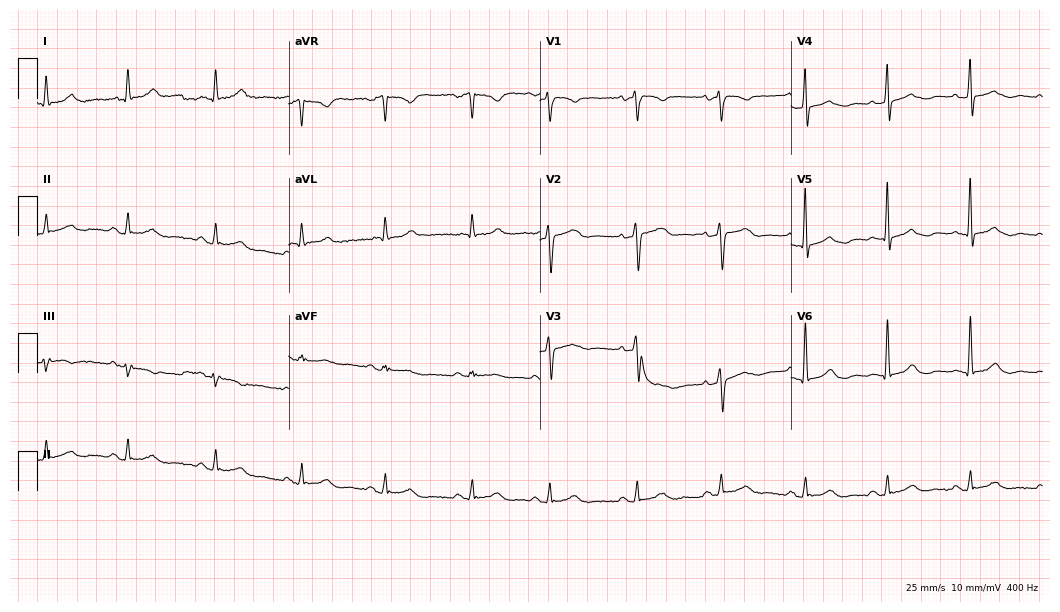
ECG — a man, 85 years old. Screened for six findings — first-degree AV block, right bundle branch block, left bundle branch block, sinus bradycardia, atrial fibrillation, sinus tachycardia — none is recorded. Other findings, if any, are not listed.